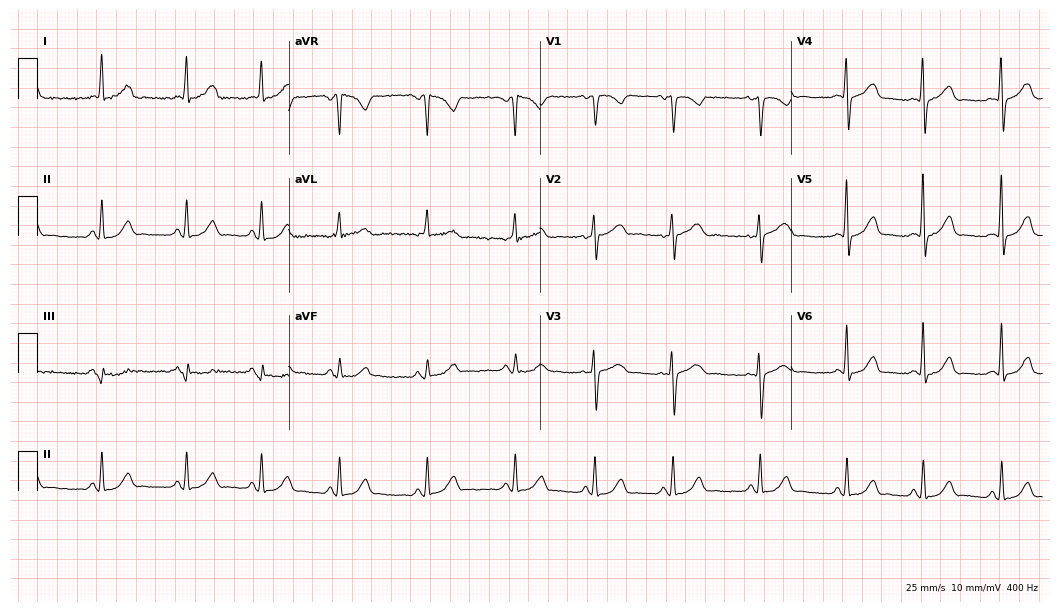
12-lead ECG from a 44-year-old woman (10.2-second recording at 400 Hz). No first-degree AV block, right bundle branch block (RBBB), left bundle branch block (LBBB), sinus bradycardia, atrial fibrillation (AF) or sinus tachycardia recorded for this tracing. Other findings, if any, are not listed.